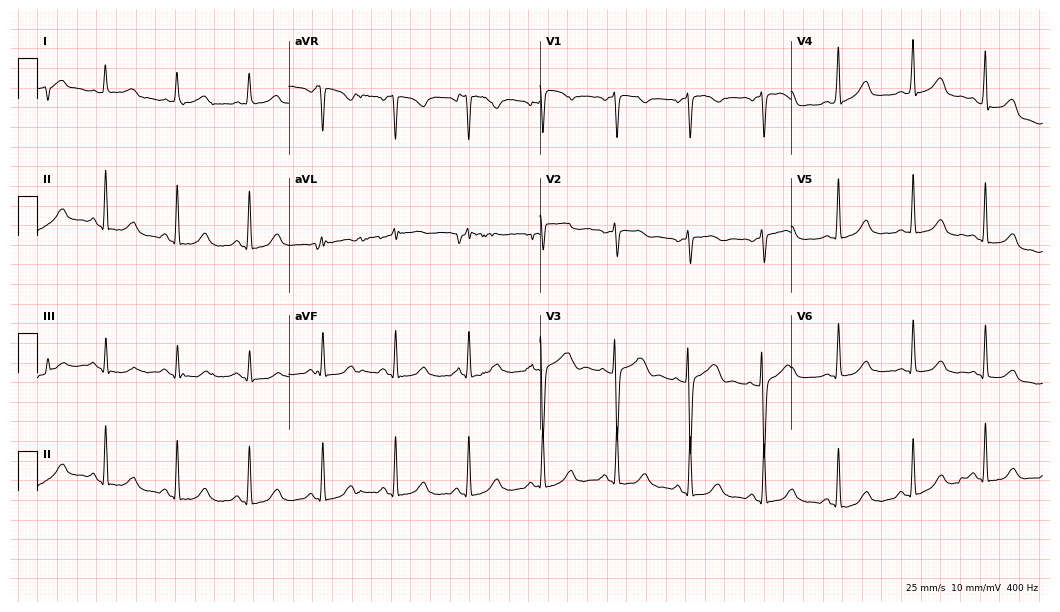
Standard 12-lead ECG recorded from a 53-year-old female. Read as a normal ECG.